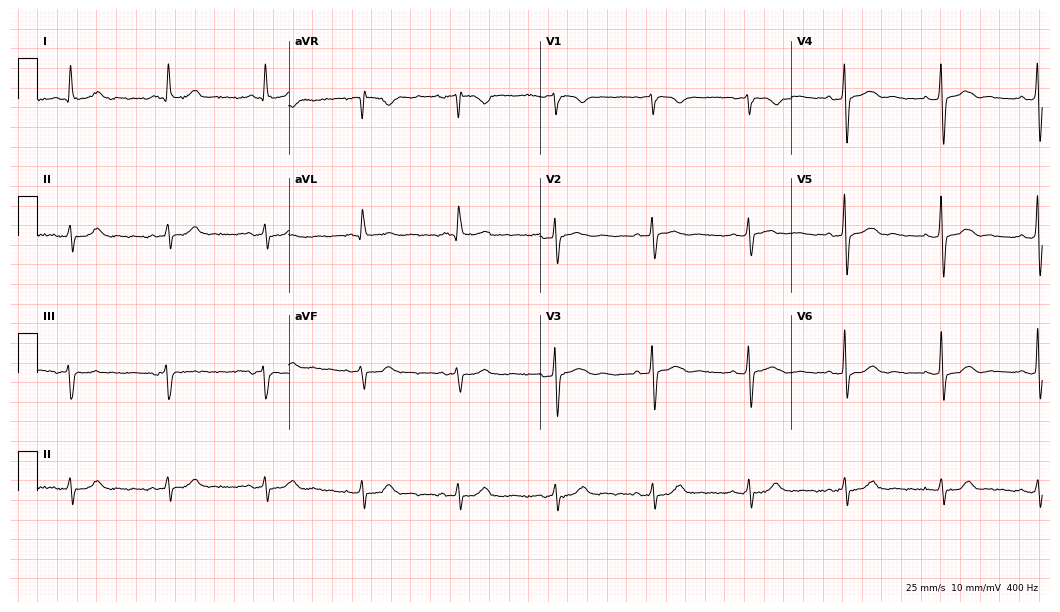
Electrocardiogram (10.2-second recording at 400 Hz), a 71-year-old male. Overall reading on record: normal ECG.